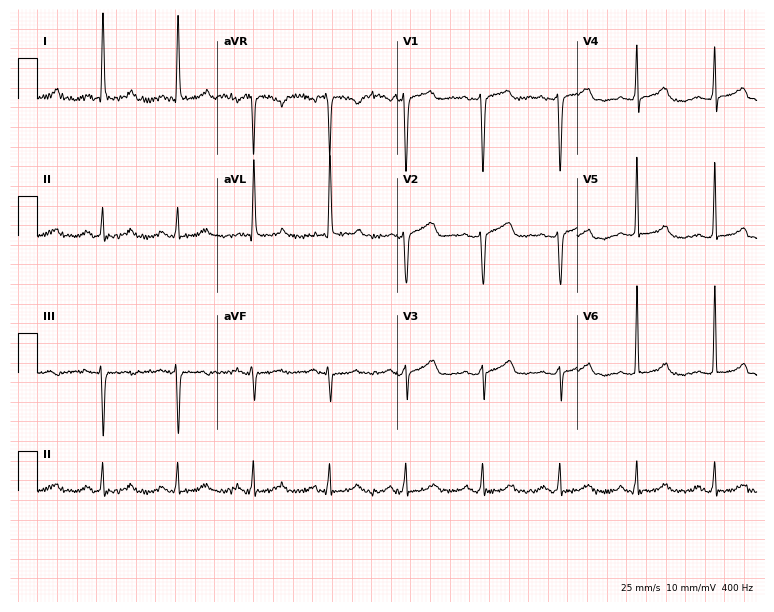
Electrocardiogram (7.3-second recording at 400 Hz), a woman, 61 years old. Of the six screened findings (first-degree AV block, right bundle branch block, left bundle branch block, sinus bradycardia, atrial fibrillation, sinus tachycardia), none is recorded.